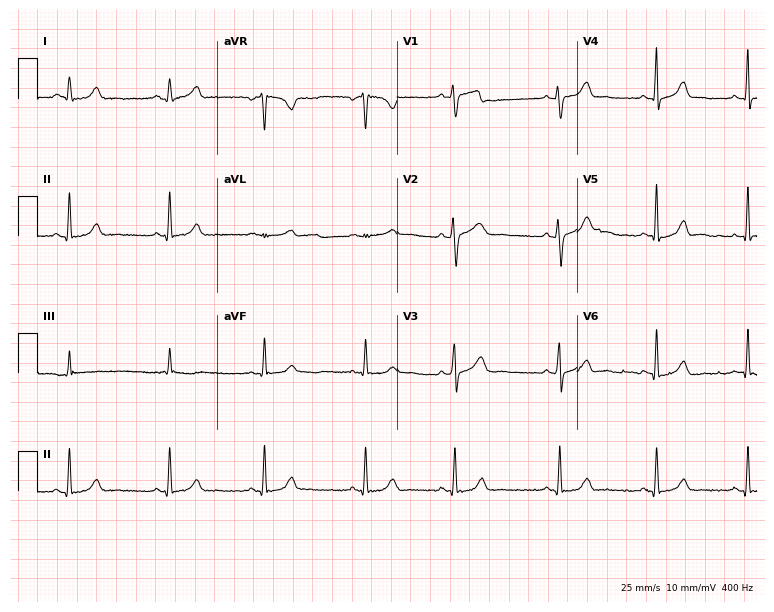
ECG — a 27-year-old female patient. Labelled as a normal ECG.